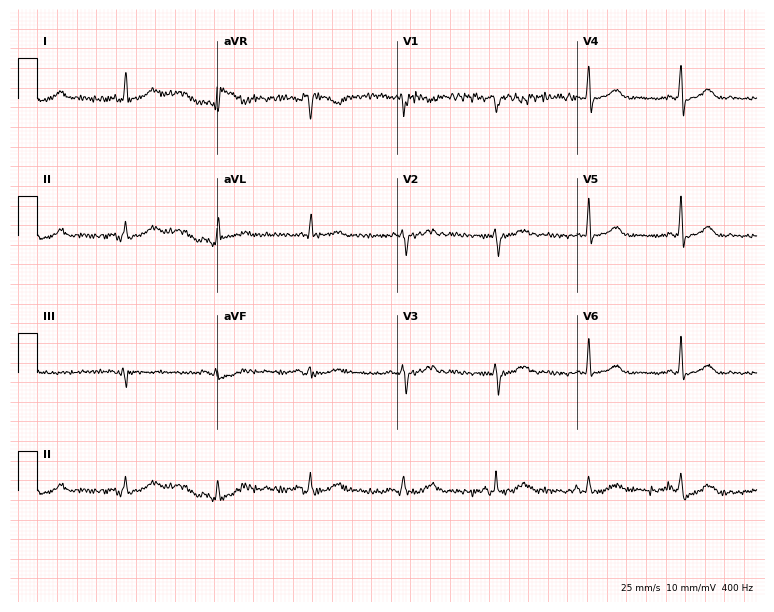
ECG (7.3-second recording at 400 Hz) — a 64-year-old female patient. Screened for six findings — first-degree AV block, right bundle branch block, left bundle branch block, sinus bradycardia, atrial fibrillation, sinus tachycardia — none is recorded.